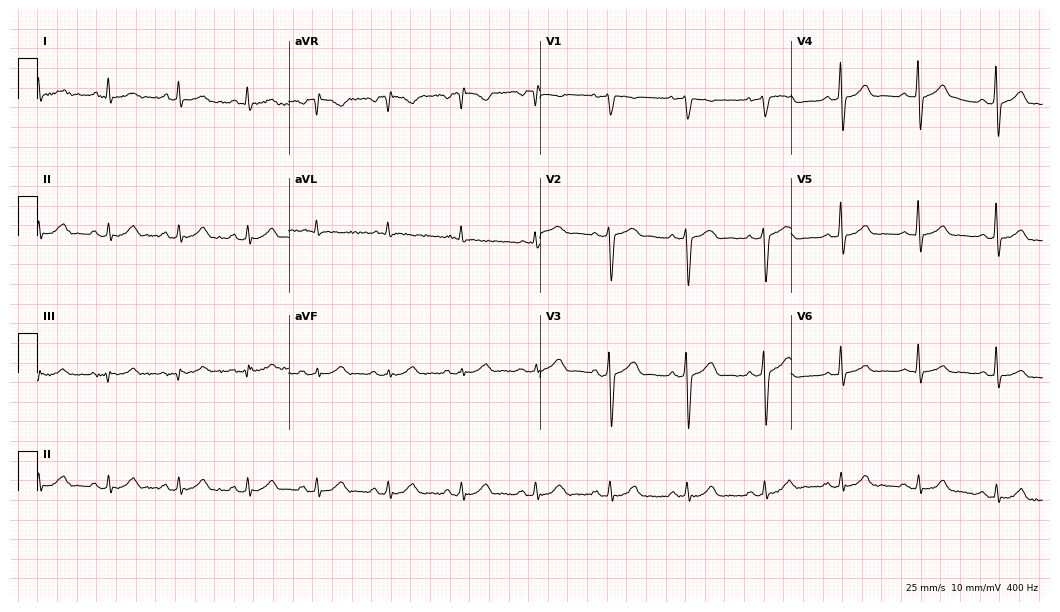
12-lead ECG from a 59-year-old male. Labelled as a normal ECG.